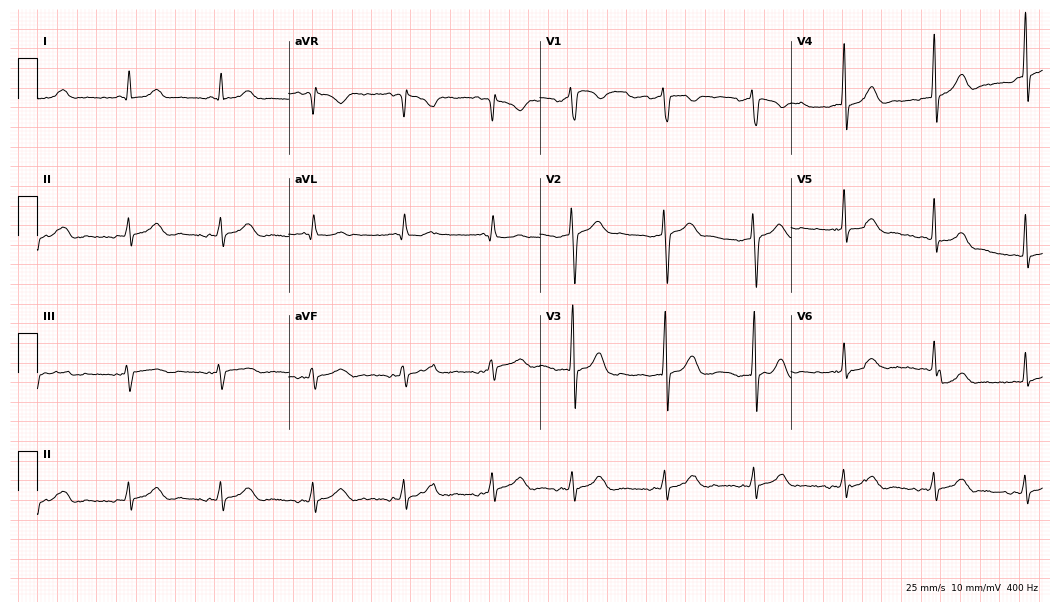
ECG — a 49-year-old man. Screened for six findings — first-degree AV block, right bundle branch block, left bundle branch block, sinus bradycardia, atrial fibrillation, sinus tachycardia — none is recorded. Findings outside these six are not listed.